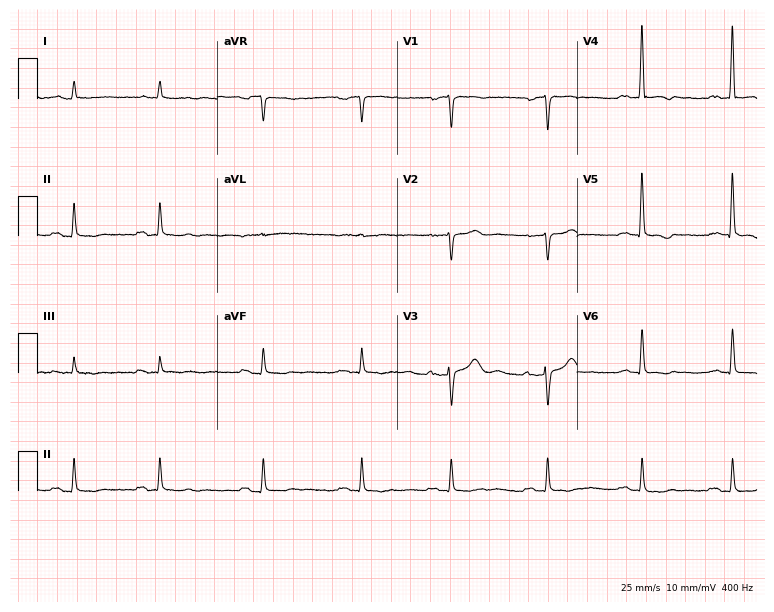
Standard 12-lead ECG recorded from a 70-year-old male (7.3-second recording at 400 Hz). None of these six findings is recorded: first-degree AV block, right bundle branch block, left bundle branch block, sinus bradycardia, atrial fibrillation, sinus tachycardia. Other findings, if any, are not listed.